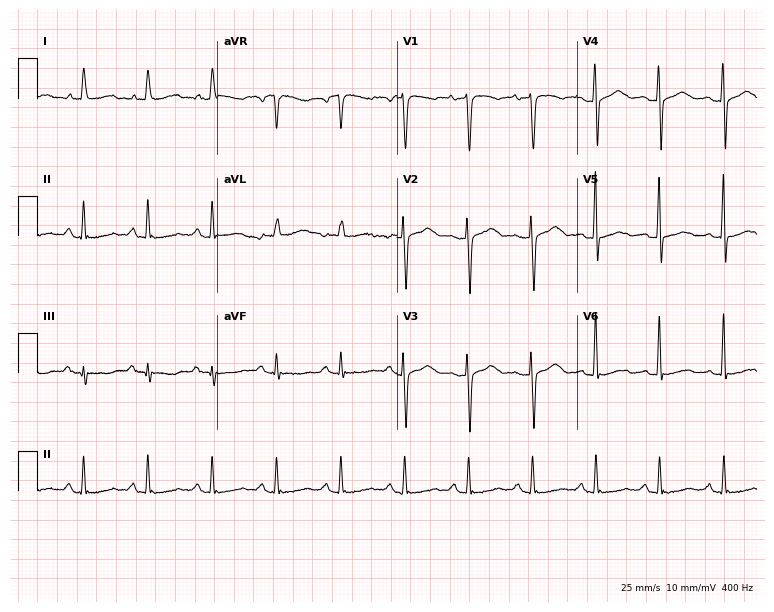
Electrocardiogram, a 54-year-old female. Of the six screened findings (first-degree AV block, right bundle branch block (RBBB), left bundle branch block (LBBB), sinus bradycardia, atrial fibrillation (AF), sinus tachycardia), none is recorded.